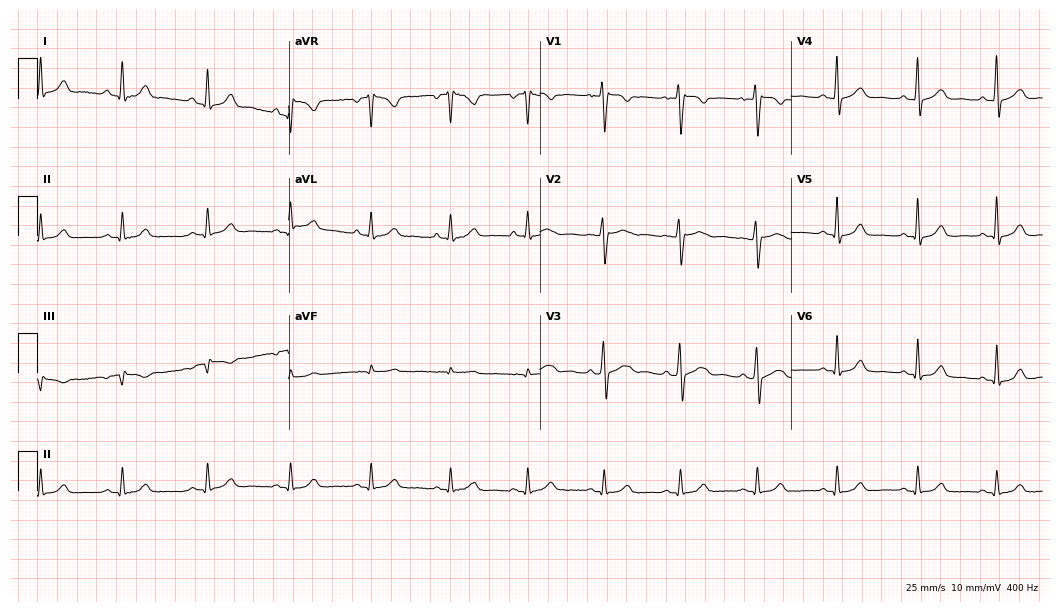
12-lead ECG from a 48-year-old female patient. Screened for six findings — first-degree AV block, right bundle branch block, left bundle branch block, sinus bradycardia, atrial fibrillation, sinus tachycardia — none is recorded.